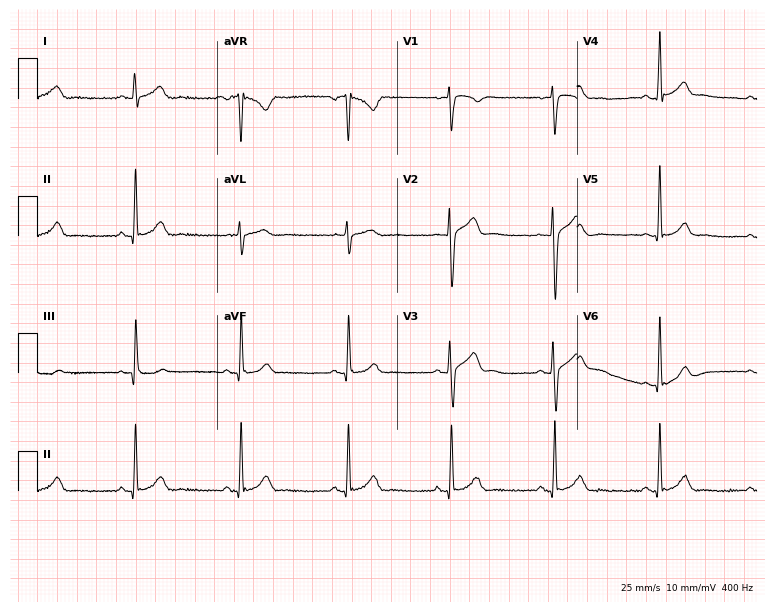
ECG — a 23-year-old man. Labelled as a normal ECG.